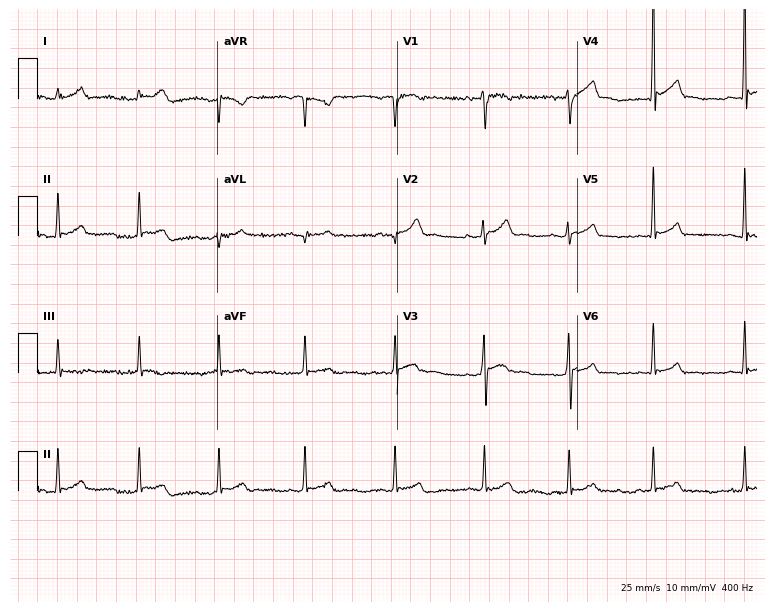
12-lead ECG from a male patient, 19 years old (7.3-second recording at 400 Hz). Recorded interpretation: within normal limits.